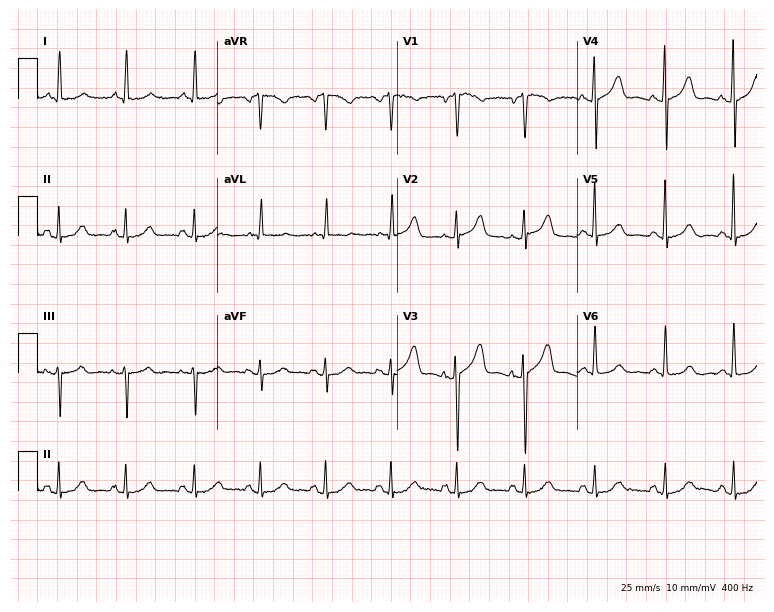
Electrocardiogram, a 60-year-old woman. Of the six screened findings (first-degree AV block, right bundle branch block, left bundle branch block, sinus bradycardia, atrial fibrillation, sinus tachycardia), none is recorded. Other findings, if any, are not listed.